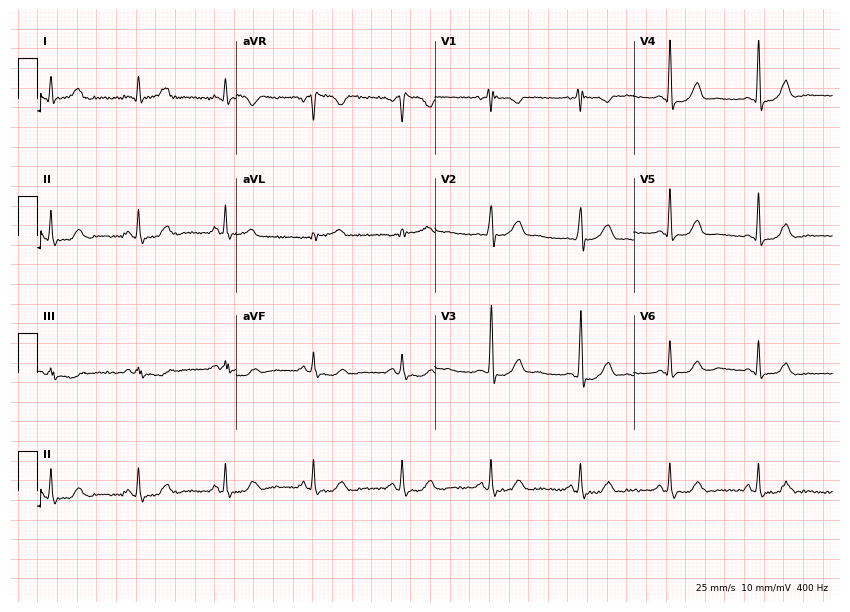
12-lead ECG (8.1-second recording at 400 Hz) from a 63-year-old female patient. Screened for six findings — first-degree AV block, right bundle branch block, left bundle branch block, sinus bradycardia, atrial fibrillation, sinus tachycardia — none is recorded.